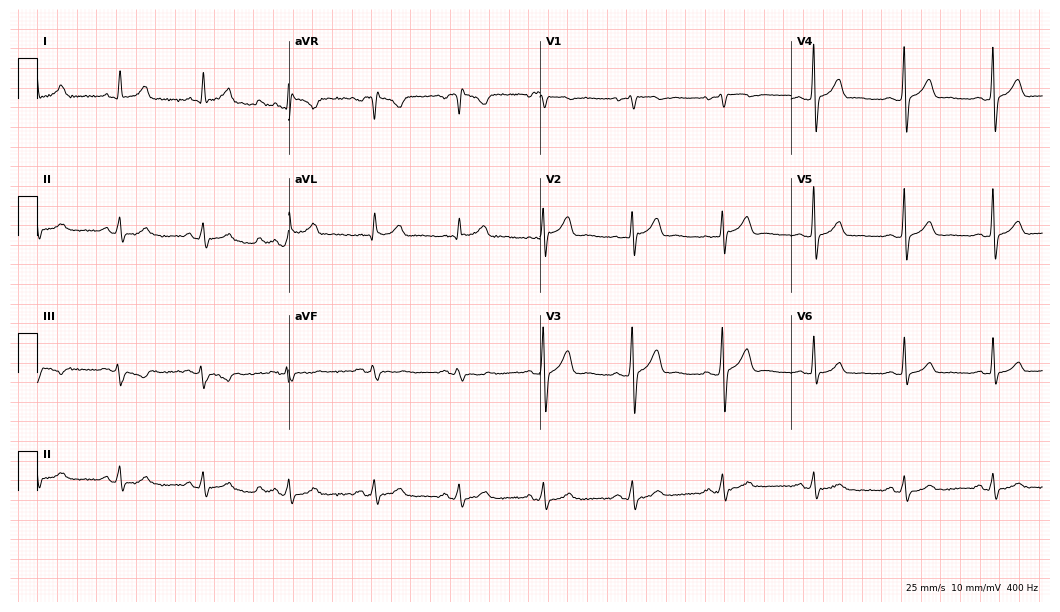
Resting 12-lead electrocardiogram. Patient: a man, 35 years old. Read as a normal ECG.